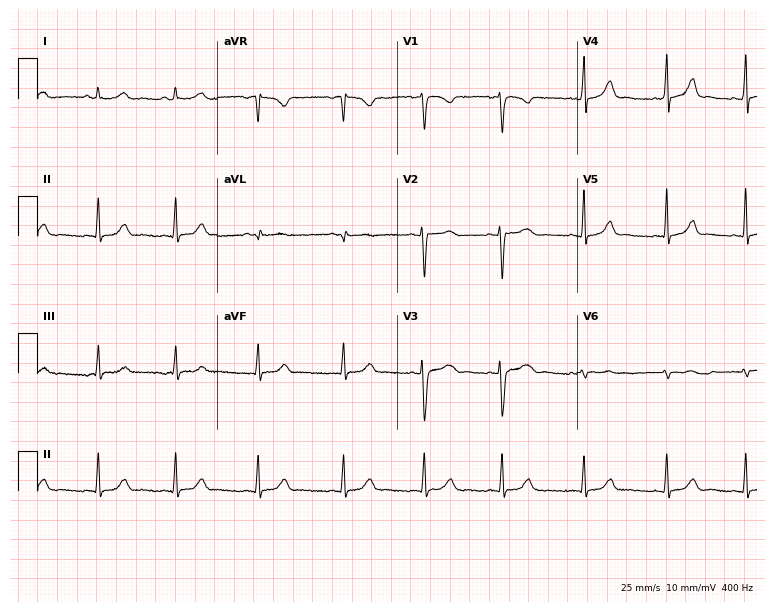
12-lead ECG (7.3-second recording at 400 Hz) from a 43-year-old female. Screened for six findings — first-degree AV block, right bundle branch block, left bundle branch block, sinus bradycardia, atrial fibrillation, sinus tachycardia — none is recorded.